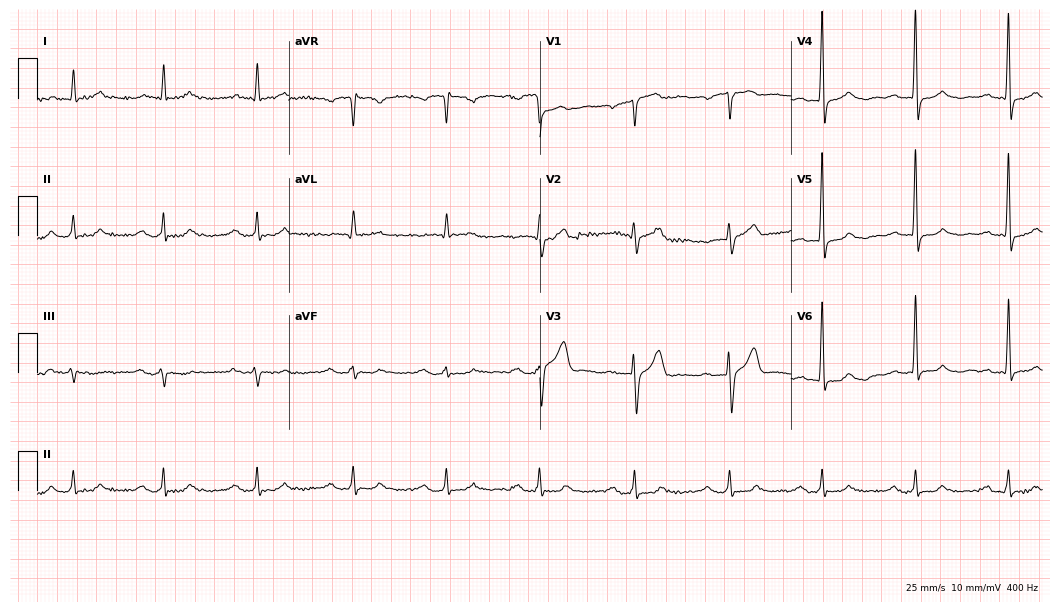
Resting 12-lead electrocardiogram. Patient: a 64-year-old man. None of these six findings is recorded: first-degree AV block, right bundle branch block (RBBB), left bundle branch block (LBBB), sinus bradycardia, atrial fibrillation (AF), sinus tachycardia.